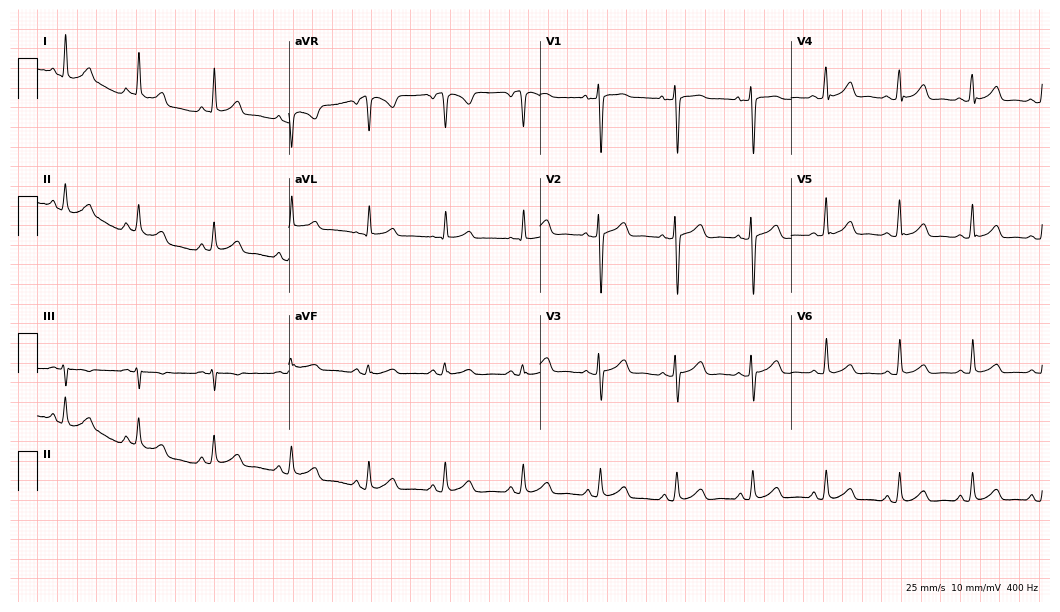
ECG — a 44-year-old woman. Labelled as a normal ECG.